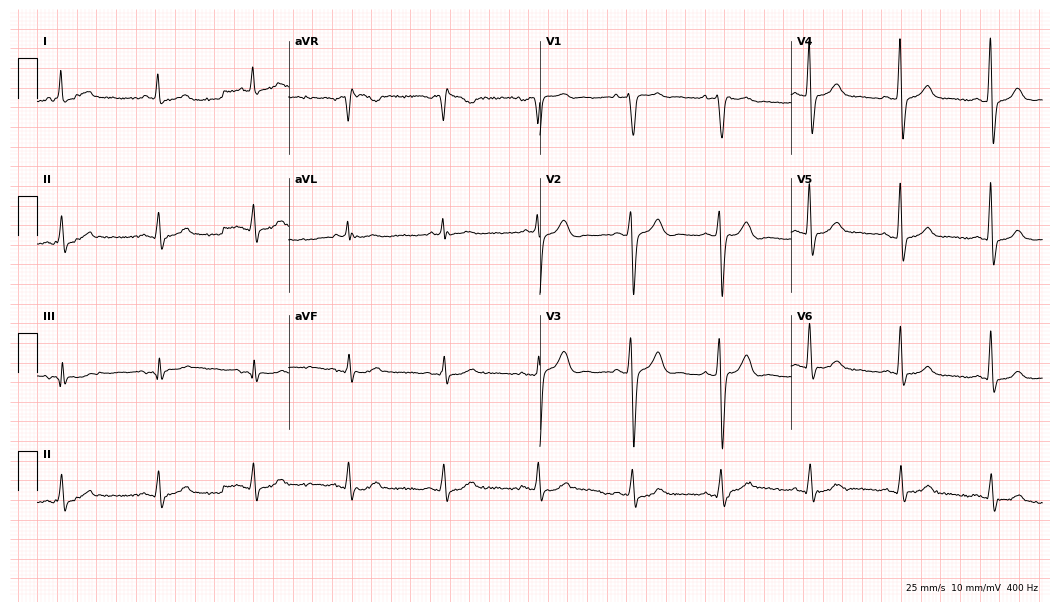
12-lead ECG from a man, 47 years old. Screened for six findings — first-degree AV block, right bundle branch block (RBBB), left bundle branch block (LBBB), sinus bradycardia, atrial fibrillation (AF), sinus tachycardia — none is recorded. Findings outside these six are not listed.